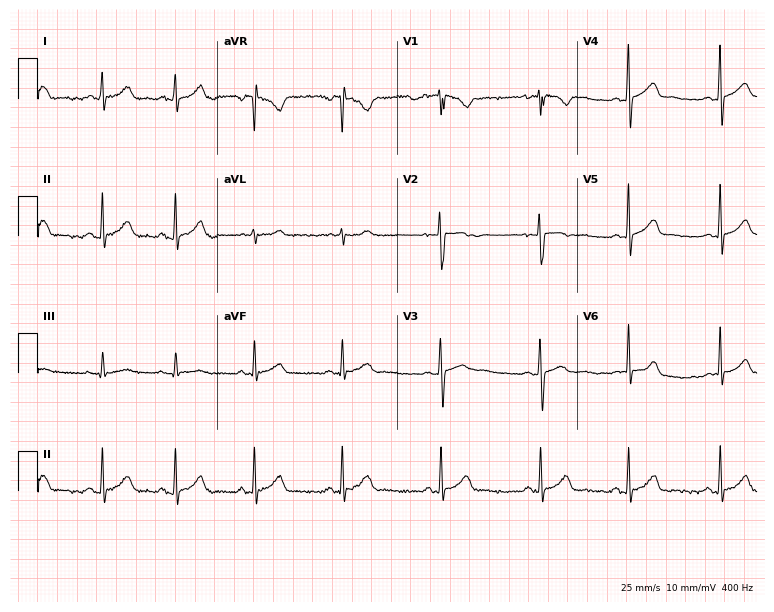
Resting 12-lead electrocardiogram (7.3-second recording at 400 Hz). Patient: a female, 19 years old. Read as a normal ECG.